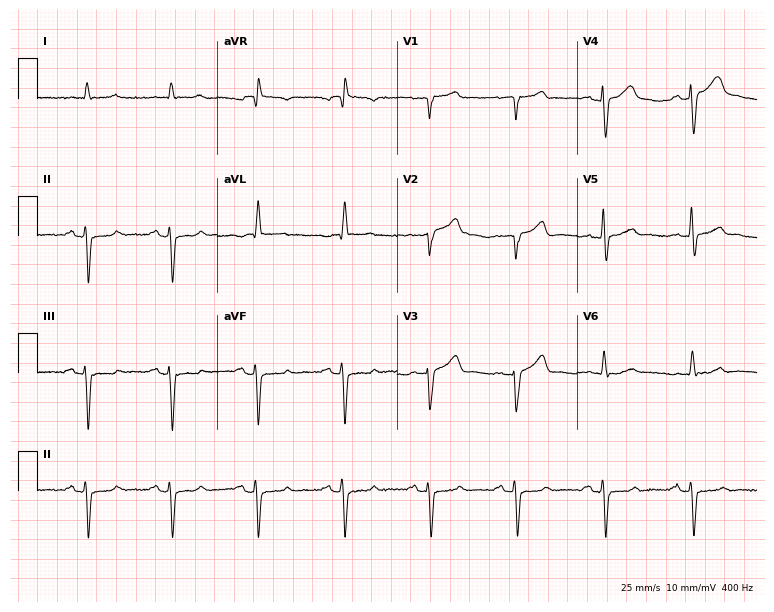
ECG (7.3-second recording at 400 Hz) — a male, 83 years old. Screened for six findings — first-degree AV block, right bundle branch block (RBBB), left bundle branch block (LBBB), sinus bradycardia, atrial fibrillation (AF), sinus tachycardia — none is recorded. Findings outside these six are not listed.